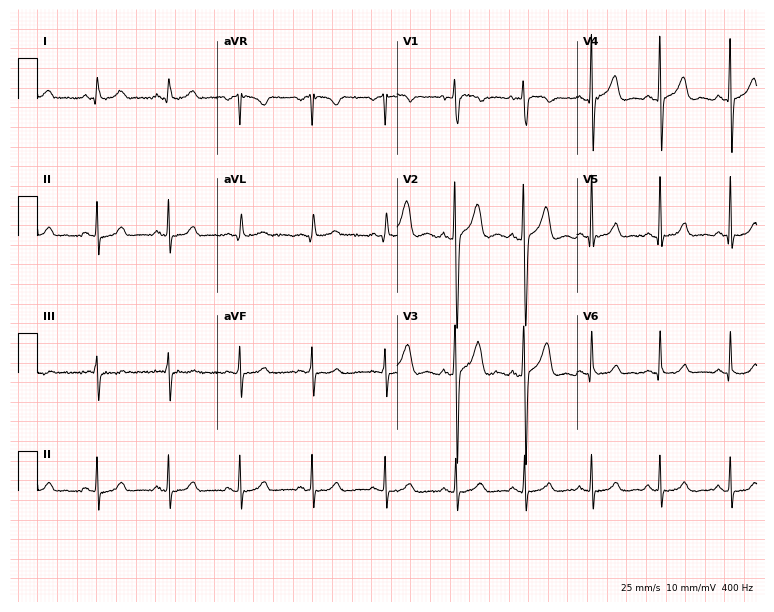
ECG — a male, 25 years old. Labelled as a normal ECG.